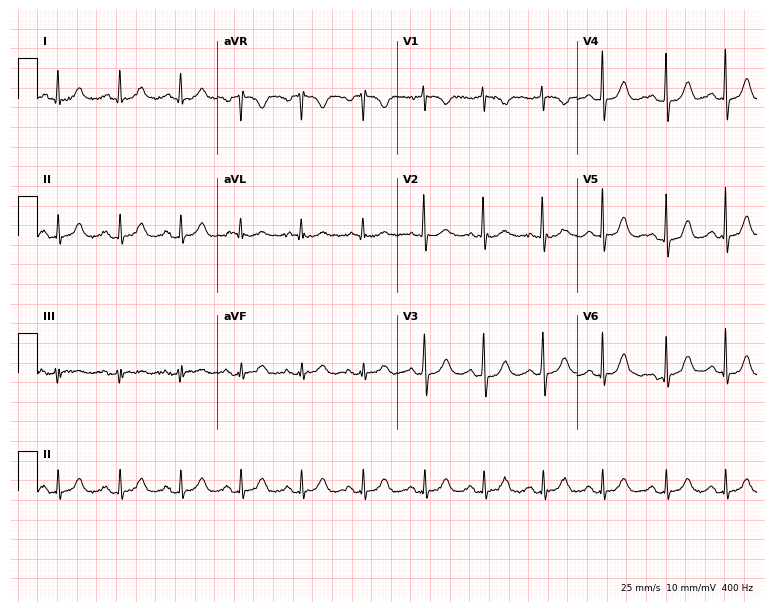
Resting 12-lead electrocardiogram (7.3-second recording at 400 Hz). Patient: a 56-year-old female. None of these six findings is recorded: first-degree AV block, right bundle branch block (RBBB), left bundle branch block (LBBB), sinus bradycardia, atrial fibrillation (AF), sinus tachycardia. Other findings, if any, are not listed.